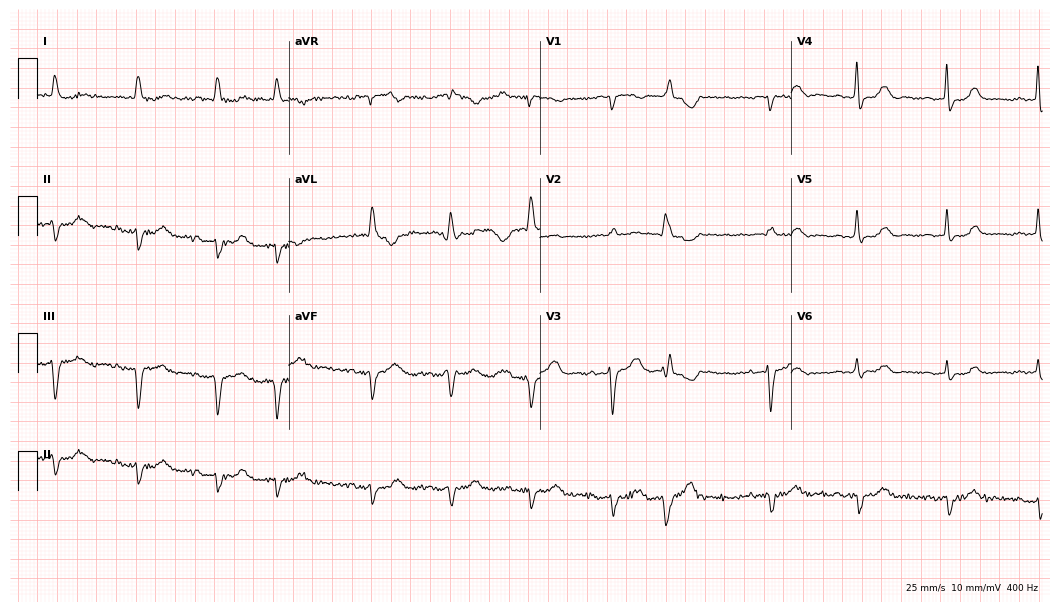
Electrocardiogram, a woman, 81 years old. Interpretation includes atrial fibrillation.